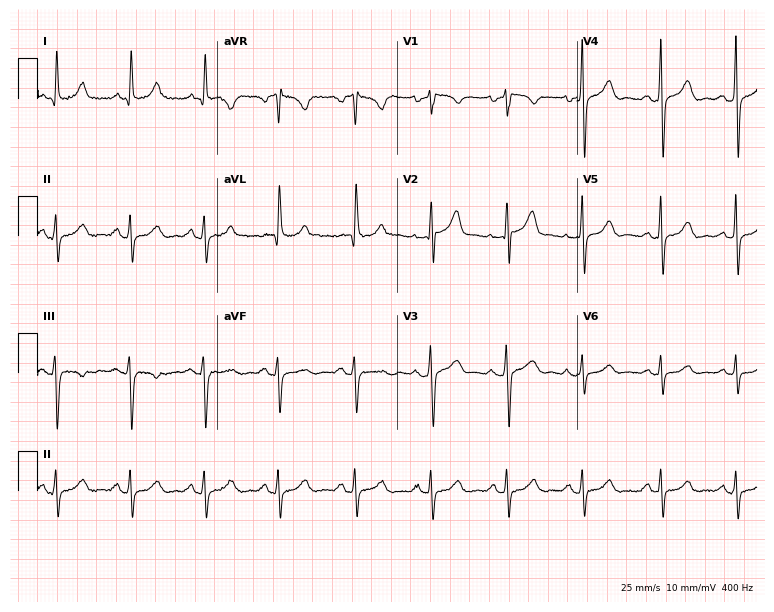
12-lead ECG from a 65-year-old male patient (7.3-second recording at 400 Hz). No first-degree AV block, right bundle branch block (RBBB), left bundle branch block (LBBB), sinus bradycardia, atrial fibrillation (AF) or sinus tachycardia recorded for this tracing. Findings outside these six are not listed.